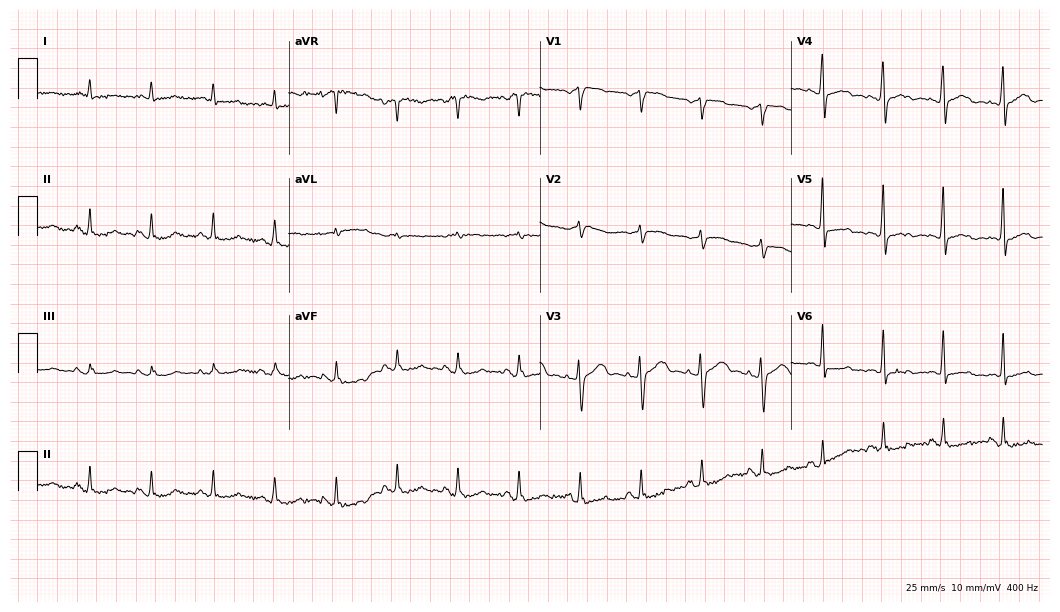
Standard 12-lead ECG recorded from a 72-year-old female. None of these six findings is recorded: first-degree AV block, right bundle branch block, left bundle branch block, sinus bradycardia, atrial fibrillation, sinus tachycardia. Findings outside these six are not listed.